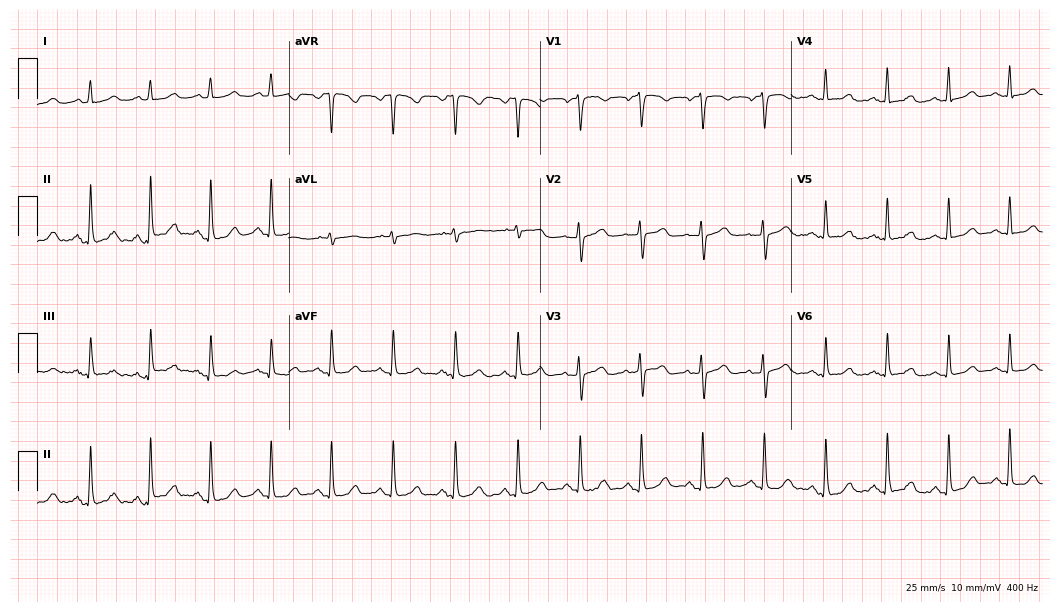
Electrocardiogram, a 57-year-old female patient. Of the six screened findings (first-degree AV block, right bundle branch block (RBBB), left bundle branch block (LBBB), sinus bradycardia, atrial fibrillation (AF), sinus tachycardia), none is recorded. Other findings, if any, are not listed.